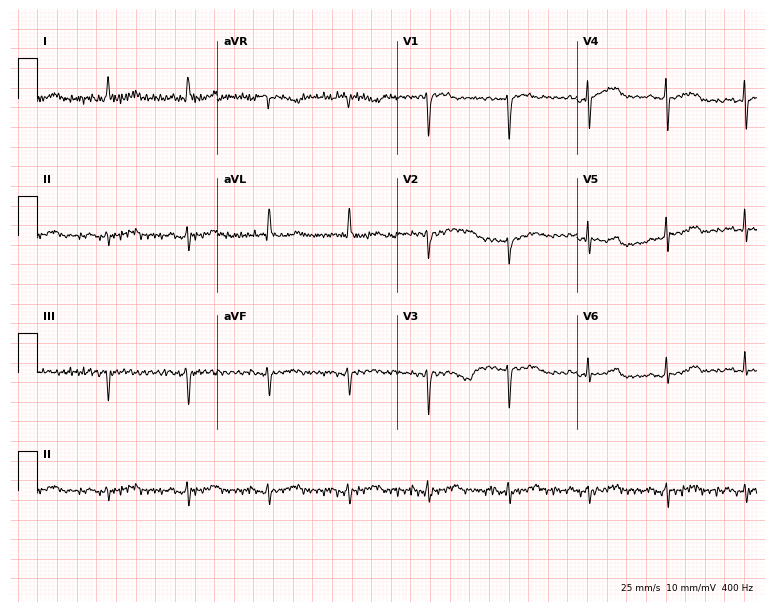
Resting 12-lead electrocardiogram (7.3-second recording at 400 Hz). Patient: a woman, 74 years old. None of these six findings is recorded: first-degree AV block, right bundle branch block, left bundle branch block, sinus bradycardia, atrial fibrillation, sinus tachycardia.